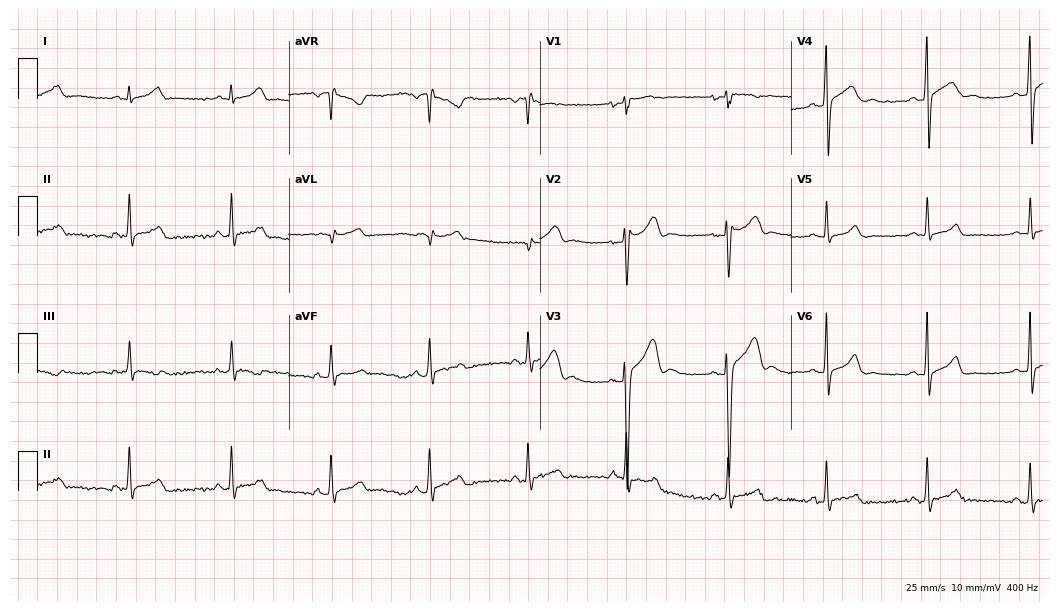
Resting 12-lead electrocardiogram. Patient: an 18-year-old man. Read as a normal ECG.